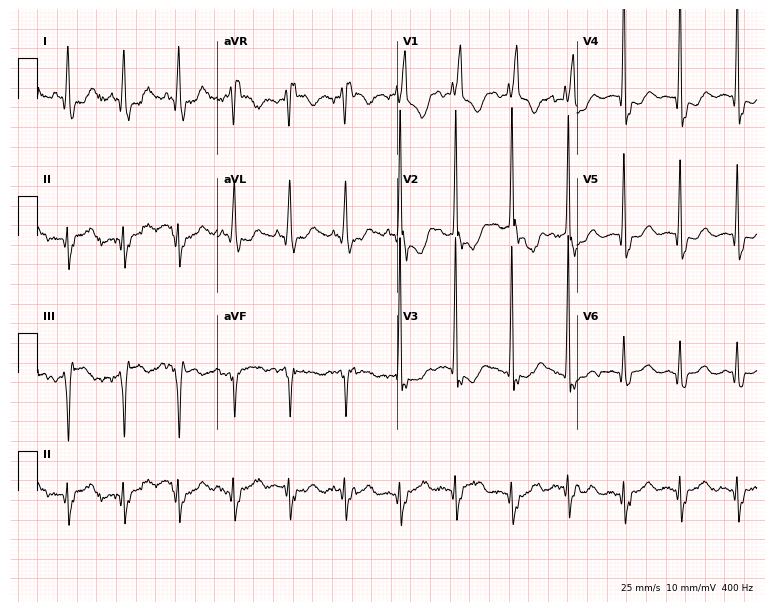
Resting 12-lead electrocardiogram (7.3-second recording at 400 Hz). Patient: a woman, 79 years old. The tracing shows right bundle branch block, sinus tachycardia (a sinus rate of 100 beats per minute or more).